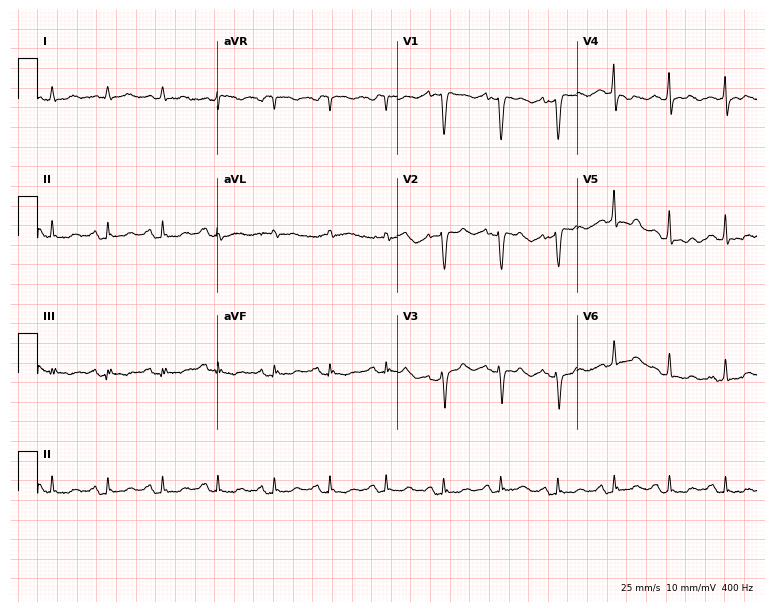
Electrocardiogram, a 56-year-old female. Interpretation includes sinus tachycardia (a sinus rate of 100 beats per minute or more).